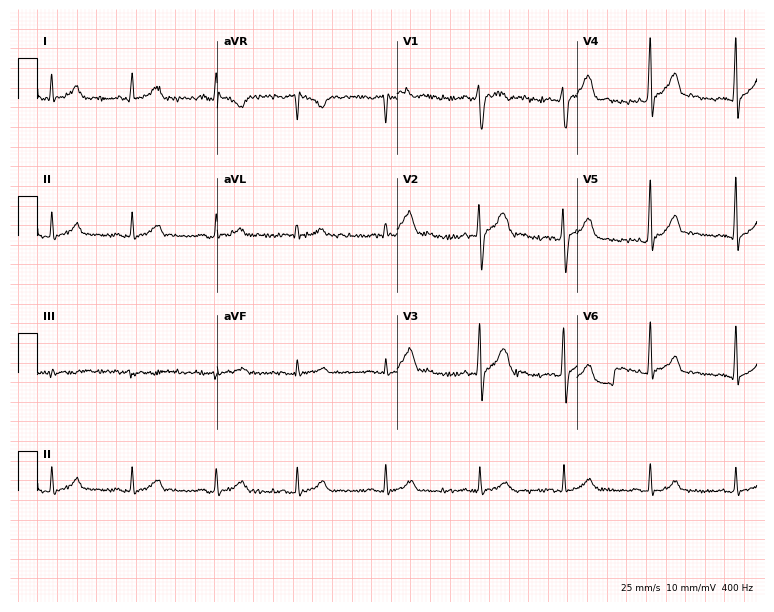
Electrocardiogram (7.3-second recording at 400 Hz), a 26-year-old male patient. Overall reading on record: normal ECG.